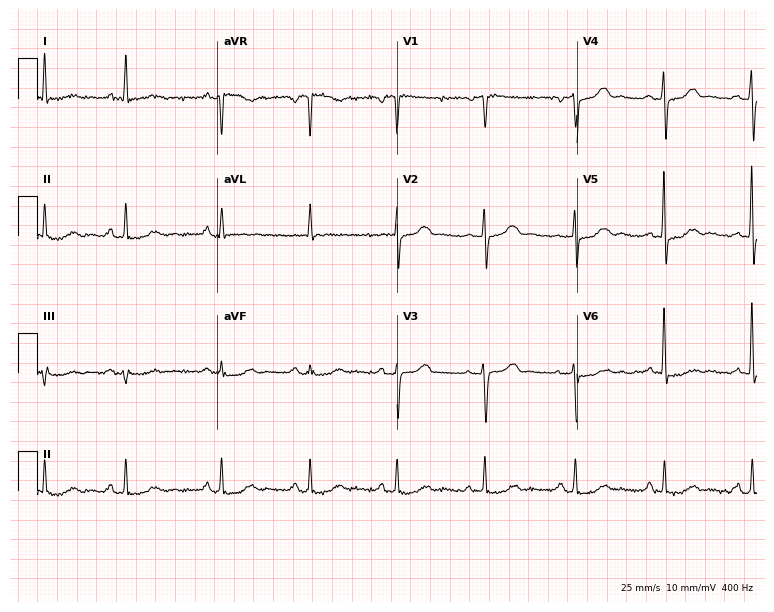
Electrocardiogram (7.3-second recording at 400 Hz), a 65-year-old woman. Overall reading on record: normal ECG.